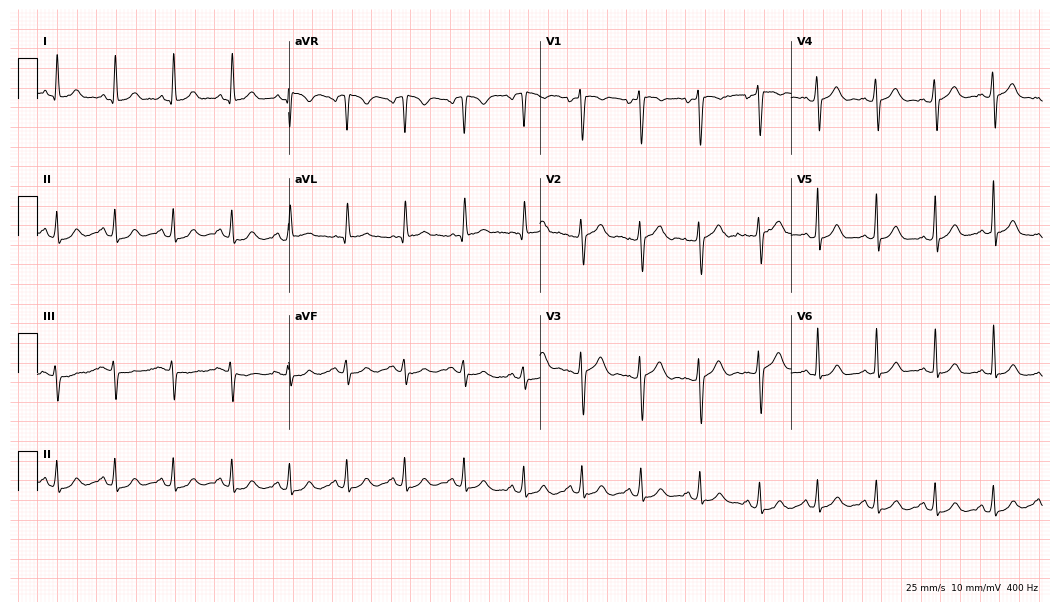
Resting 12-lead electrocardiogram (10.2-second recording at 400 Hz). Patient: a female, 17 years old. None of these six findings is recorded: first-degree AV block, right bundle branch block, left bundle branch block, sinus bradycardia, atrial fibrillation, sinus tachycardia.